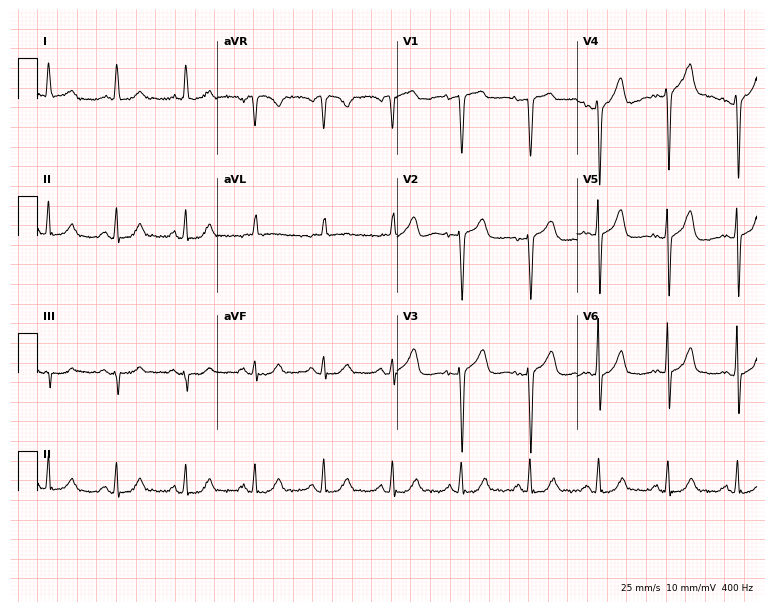
Electrocardiogram, a 69-year-old female patient. Of the six screened findings (first-degree AV block, right bundle branch block, left bundle branch block, sinus bradycardia, atrial fibrillation, sinus tachycardia), none is recorded.